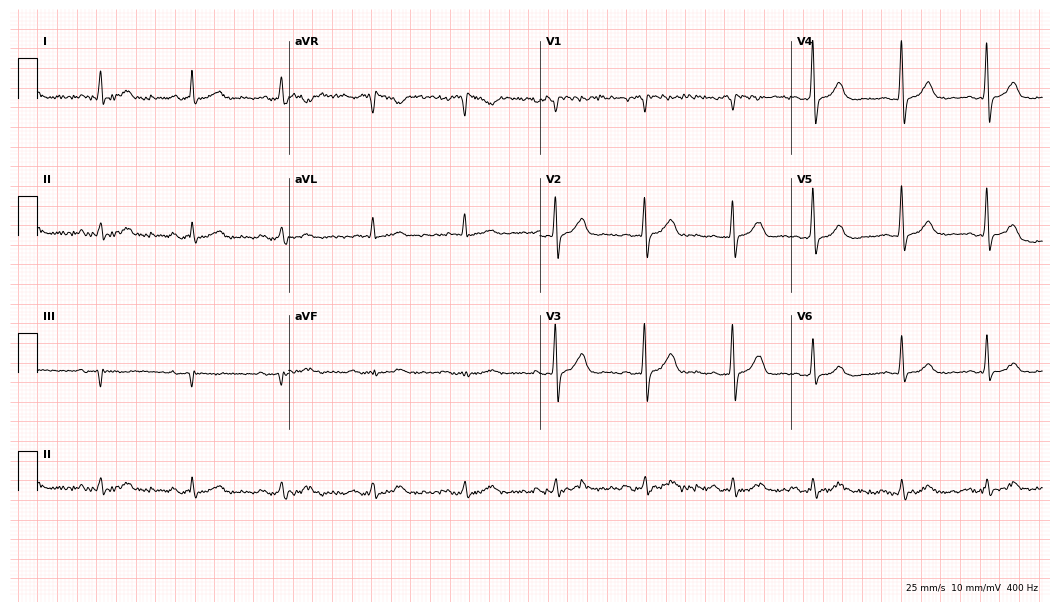
12-lead ECG from a male, 68 years old (10.2-second recording at 400 Hz). No first-degree AV block, right bundle branch block, left bundle branch block, sinus bradycardia, atrial fibrillation or sinus tachycardia recorded for this tracing. Only these six findings were labelled.